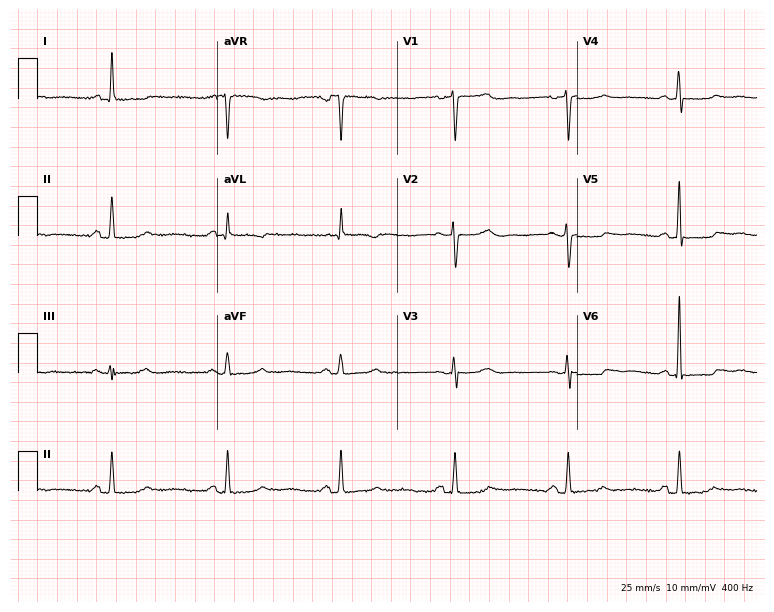
12-lead ECG (7.3-second recording at 400 Hz) from a female patient, 68 years old. Screened for six findings — first-degree AV block, right bundle branch block, left bundle branch block, sinus bradycardia, atrial fibrillation, sinus tachycardia — none is recorded. Other findings, if any, are not listed.